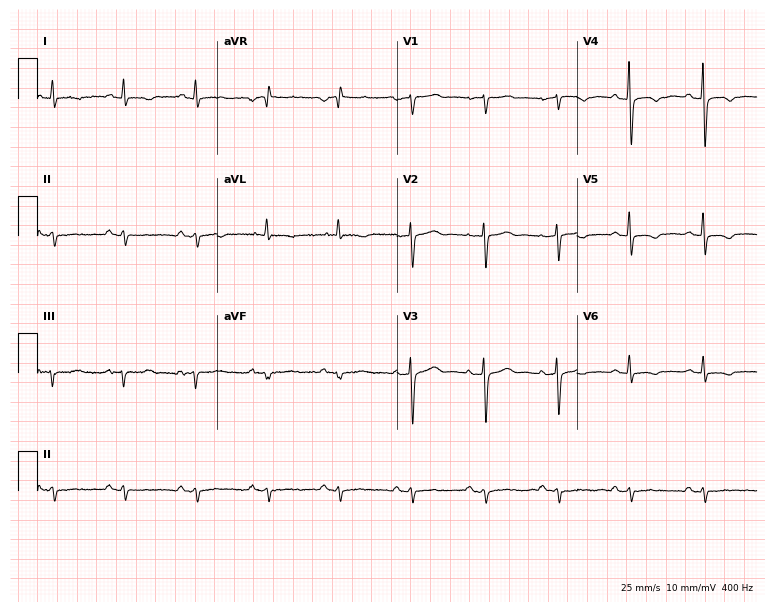
12-lead ECG from a 79-year-old female patient. Screened for six findings — first-degree AV block, right bundle branch block, left bundle branch block, sinus bradycardia, atrial fibrillation, sinus tachycardia — none is recorded.